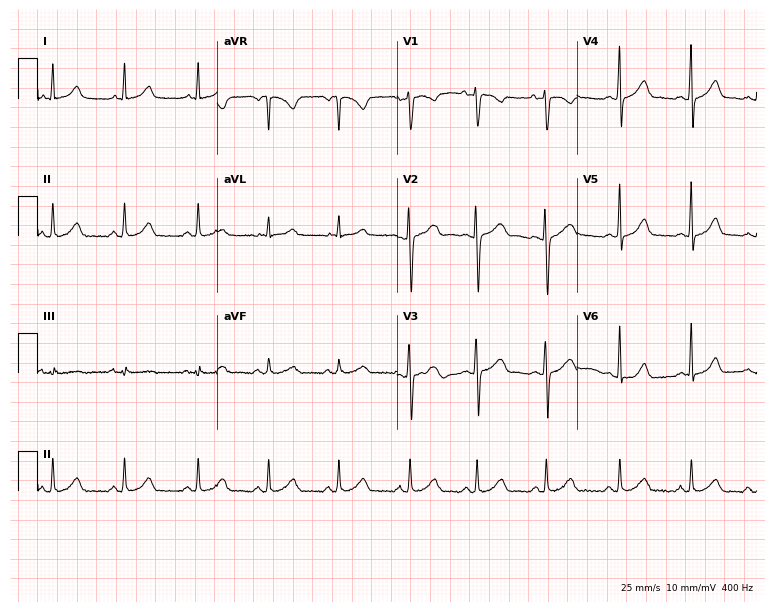
Electrocardiogram (7.3-second recording at 400 Hz), a female, 20 years old. Overall reading on record: normal ECG.